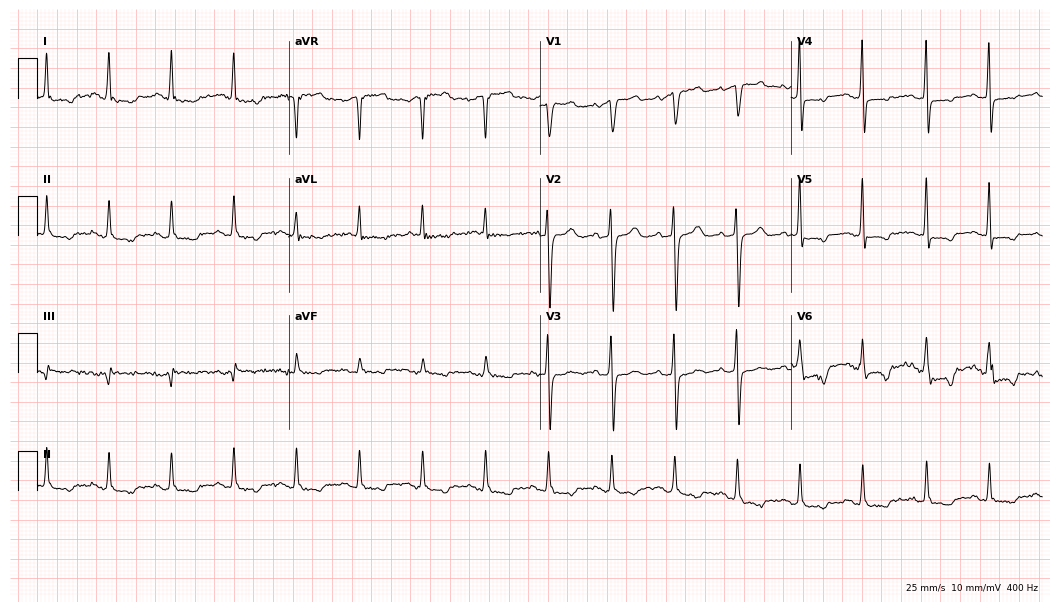
Resting 12-lead electrocardiogram (10.2-second recording at 400 Hz). Patient: a woman, 81 years old. Read as a normal ECG.